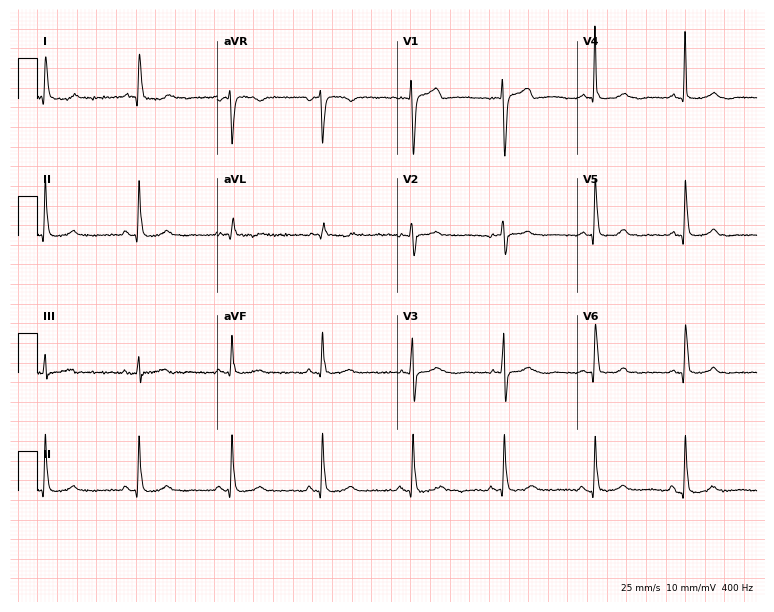
Electrocardiogram (7.3-second recording at 400 Hz), a 47-year-old male patient. Of the six screened findings (first-degree AV block, right bundle branch block, left bundle branch block, sinus bradycardia, atrial fibrillation, sinus tachycardia), none is recorded.